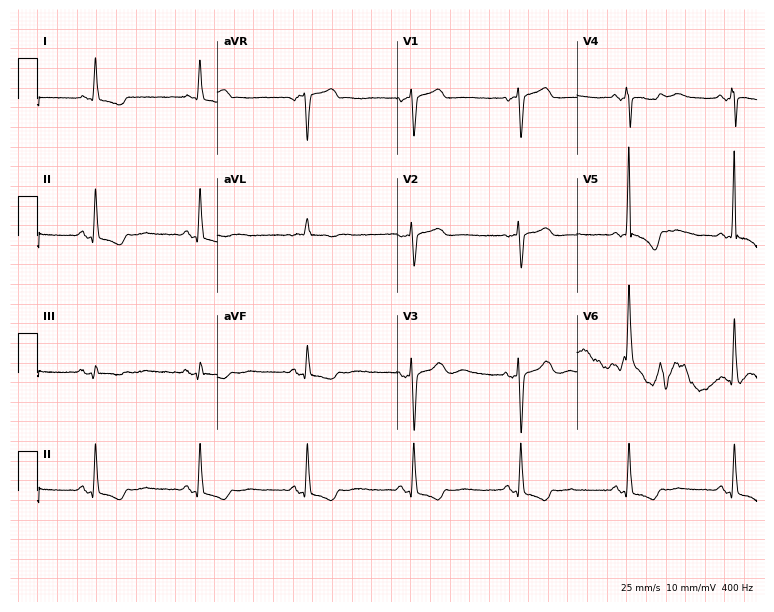
ECG (7.3-second recording at 400 Hz) — a female patient, 74 years old. Screened for six findings — first-degree AV block, right bundle branch block, left bundle branch block, sinus bradycardia, atrial fibrillation, sinus tachycardia — none is recorded.